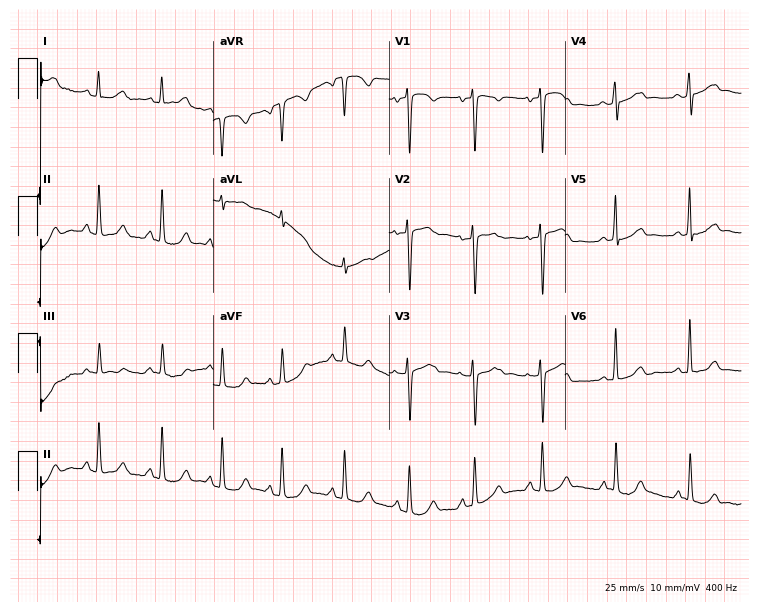
12-lead ECG (7.2-second recording at 400 Hz) from a 45-year-old female. Labelled as a normal ECG.